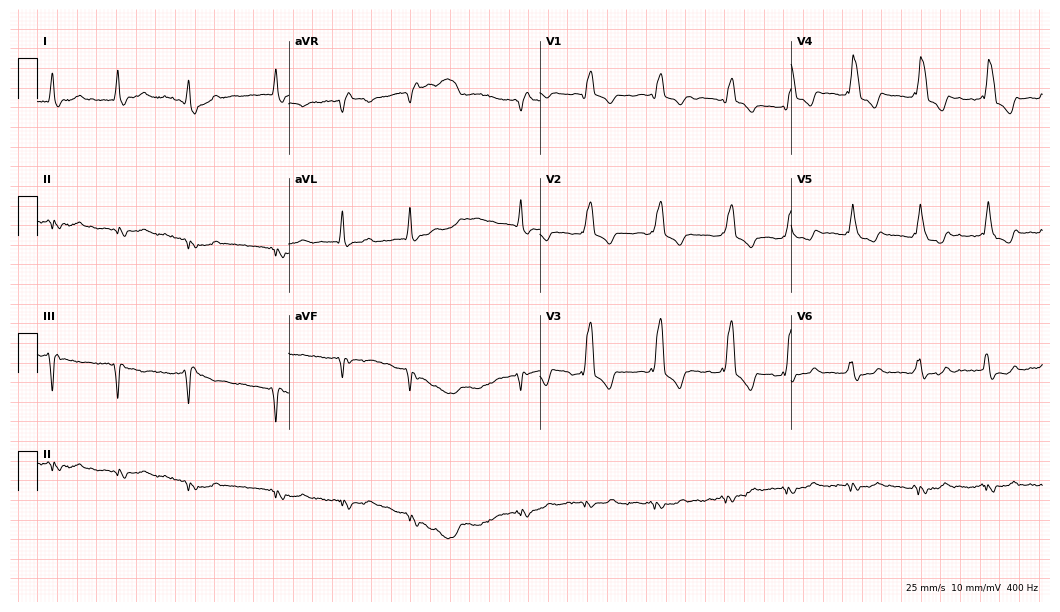
12-lead ECG from a male, 78 years old (10.2-second recording at 400 Hz). Shows right bundle branch block, atrial fibrillation.